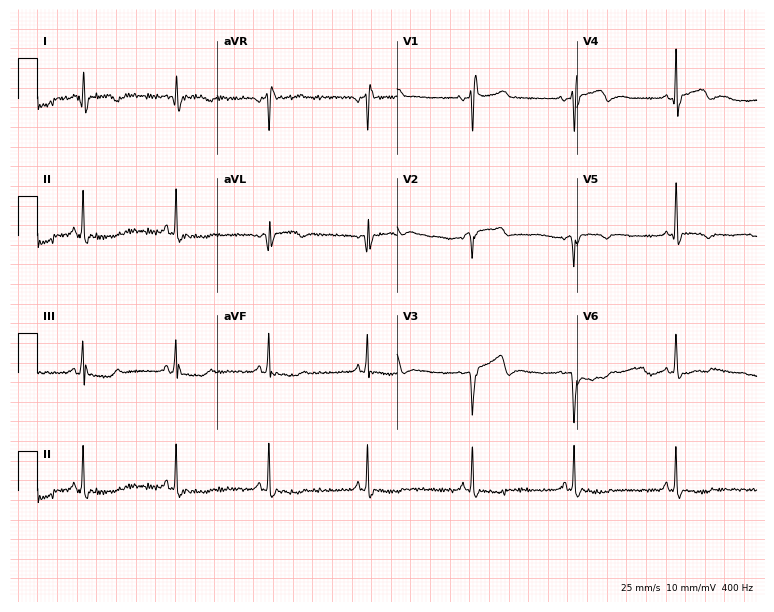
Electrocardiogram (7.3-second recording at 400 Hz), a female patient, 48 years old. Of the six screened findings (first-degree AV block, right bundle branch block, left bundle branch block, sinus bradycardia, atrial fibrillation, sinus tachycardia), none is recorded.